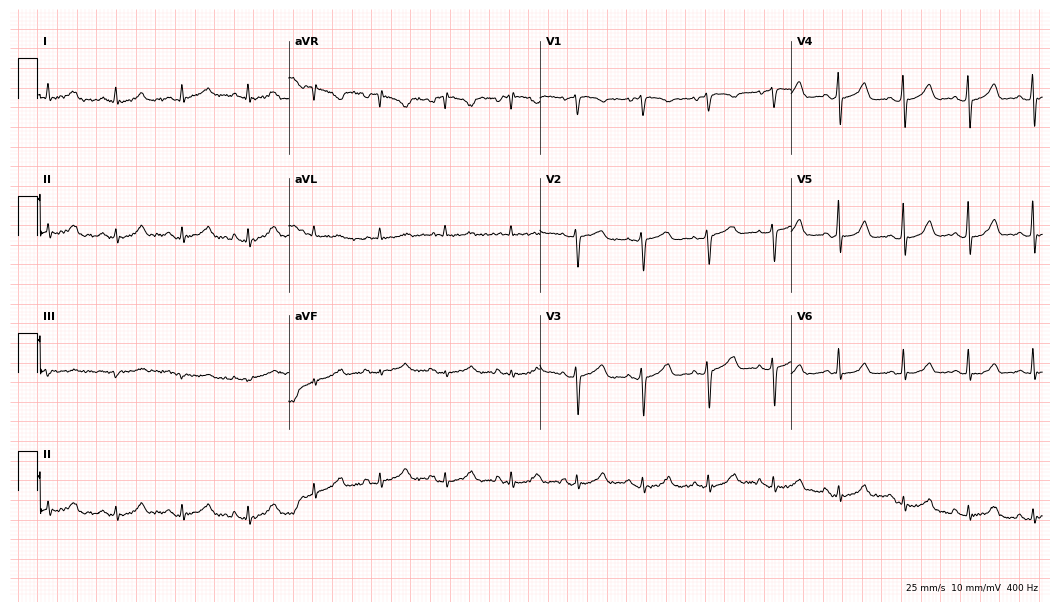
Resting 12-lead electrocardiogram (10.2-second recording at 400 Hz). Patient: a 48-year-old female. Read as a normal ECG.